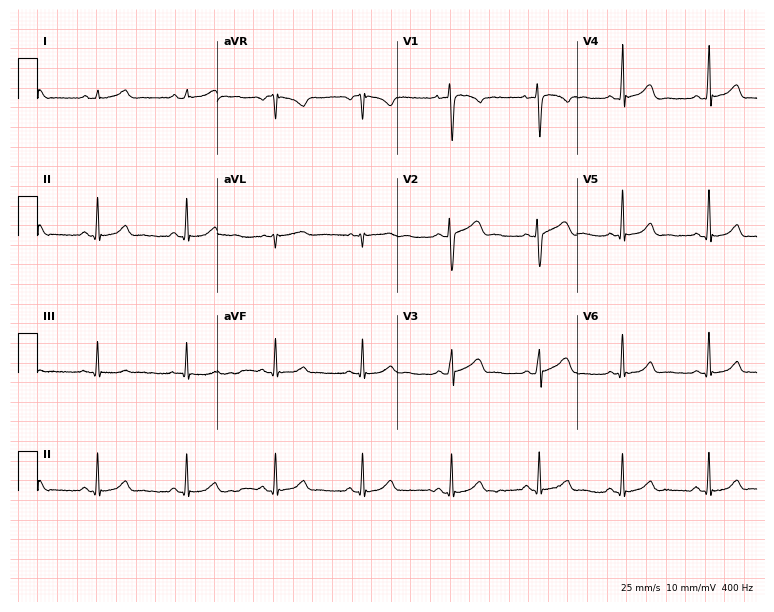
12-lead ECG from a female, 19 years old (7.3-second recording at 400 Hz). No first-degree AV block, right bundle branch block (RBBB), left bundle branch block (LBBB), sinus bradycardia, atrial fibrillation (AF) or sinus tachycardia recorded for this tracing.